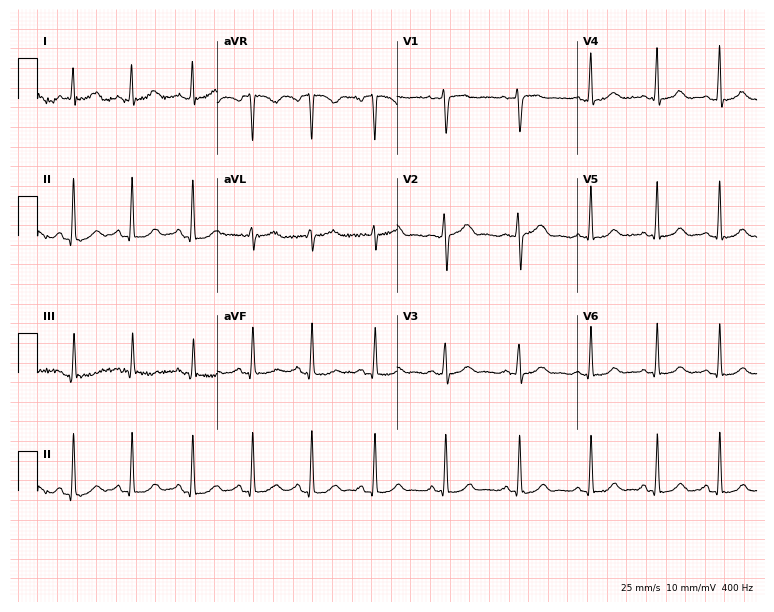
Standard 12-lead ECG recorded from a female, 27 years old. Read as a normal ECG.